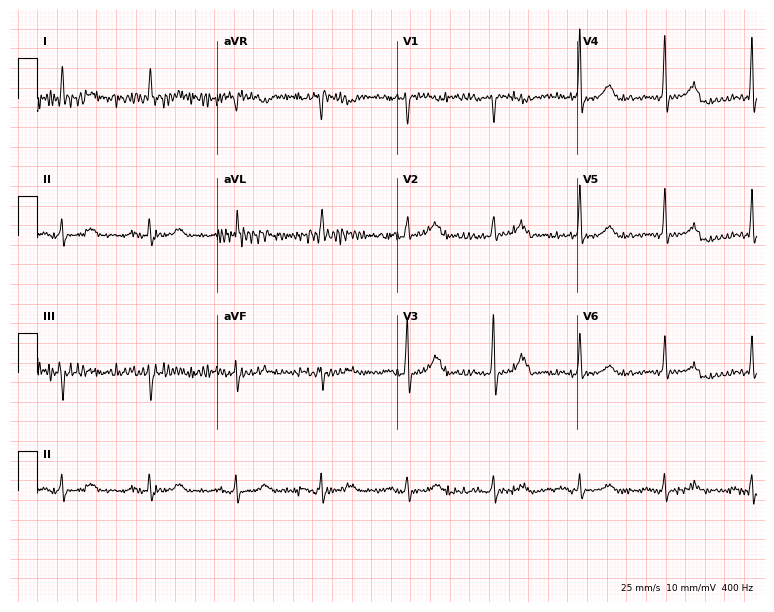
Electrocardiogram (7.3-second recording at 400 Hz), a female patient, 78 years old. Interpretation includes first-degree AV block.